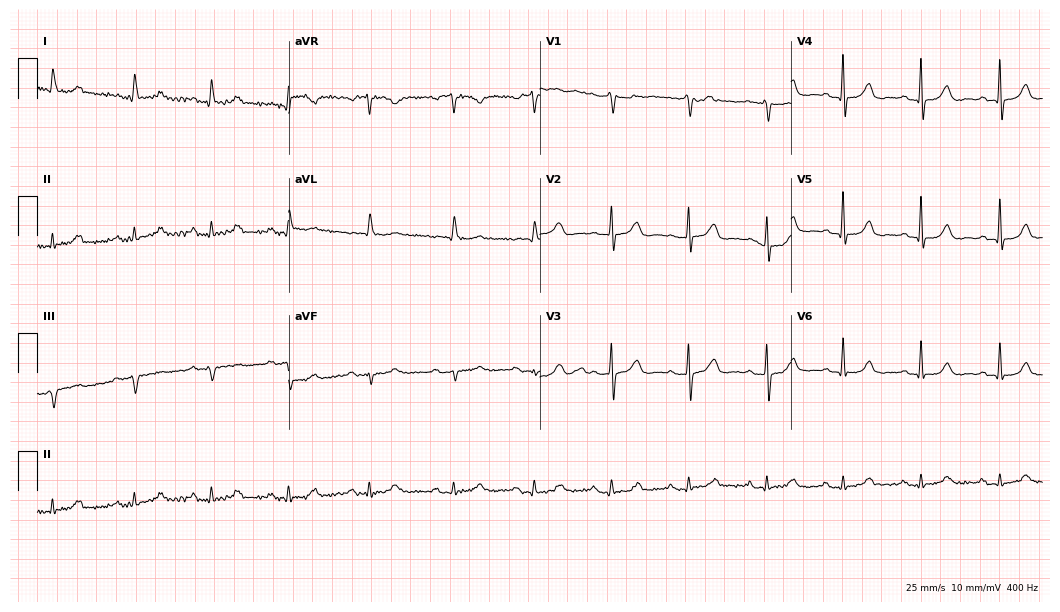
Resting 12-lead electrocardiogram (10.2-second recording at 400 Hz). Patient: a 79-year-old female. Read as a normal ECG.